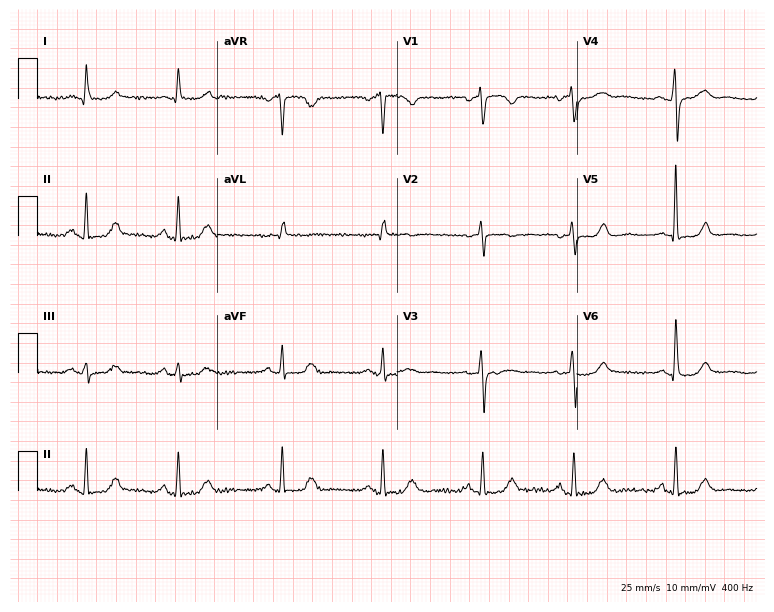
Standard 12-lead ECG recorded from a female patient, 70 years old. Read as a normal ECG.